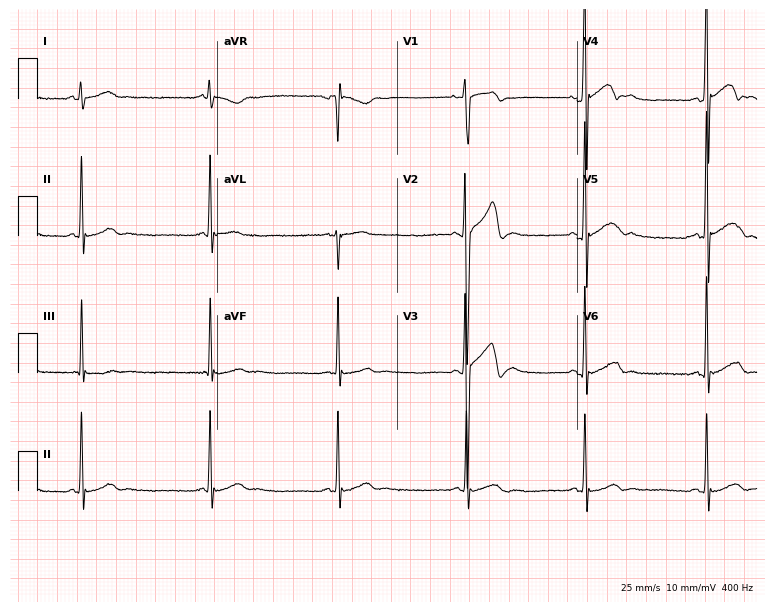
Standard 12-lead ECG recorded from an 18-year-old man (7.3-second recording at 400 Hz). None of these six findings is recorded: first-degree AV block, right bundle branch block, left bundle branch block, sinus bradycardia, atrial fibrillation, sinus tachycardia.